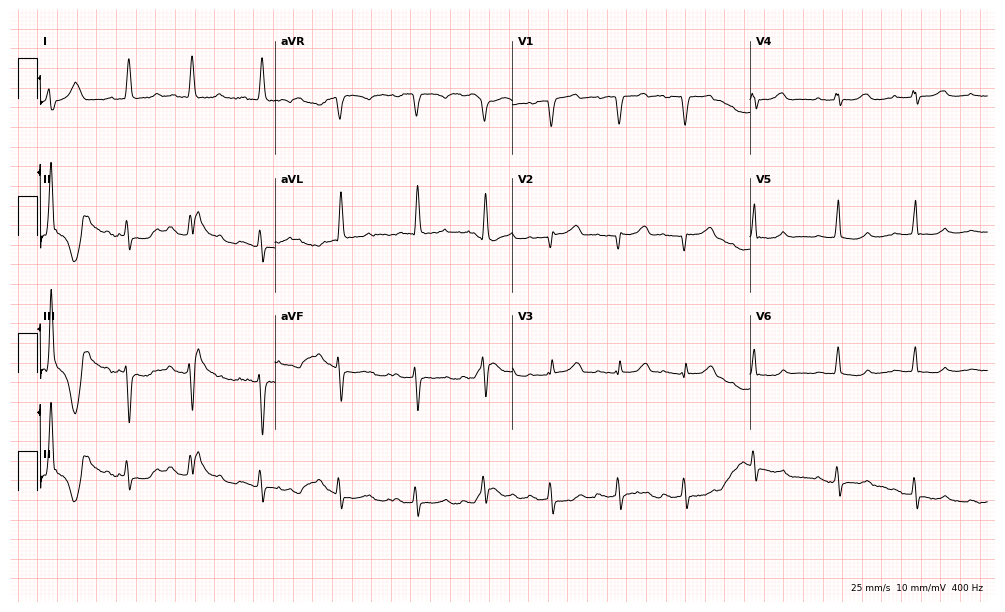
Electrocardiogram, a 72-year-old female patient. Of the six screened findings (first-degree AV block, right bundle branch block (RBBB), left bundle branch block (LBBB), sinus bradycardia, atrial fibrillation (AF), sinus tachycardia), none is recorded.